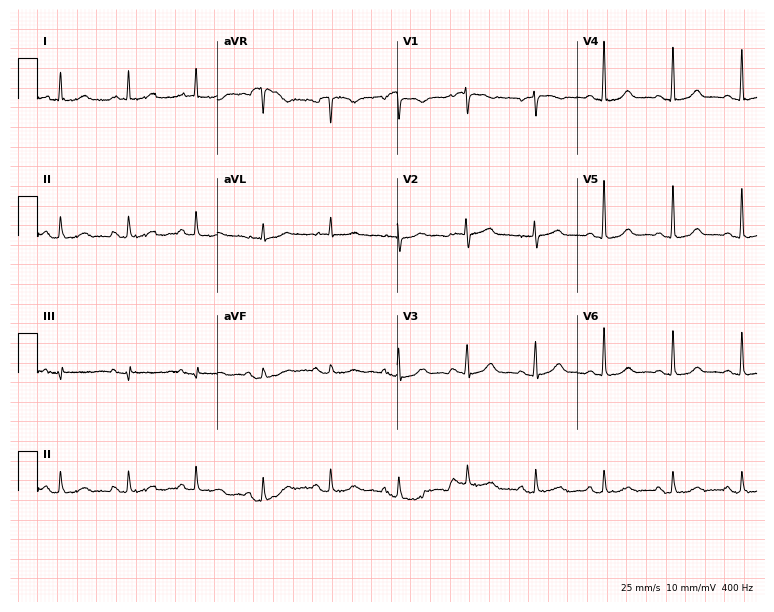
ECG — a female, 77 years old. Screened for six findings — first-degree AV block, right bundle branch block, left bundle branch block, sinus bradycardia, atrial fibrillation, sinus tachycardia — none is recorded. Other findings, if any, are not listed.